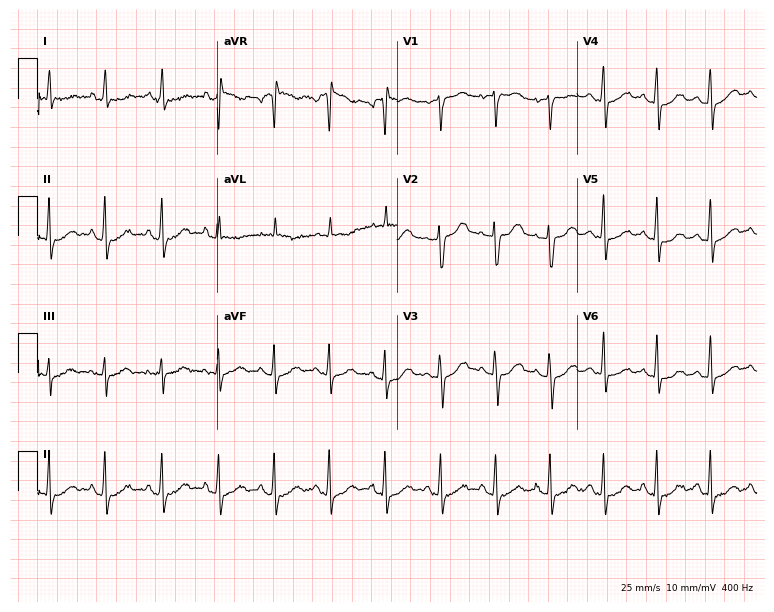
Electrocardiogram, a female, 36 years old. Interpretation includes sinus tachycardia (a sinus rate of 100 beats per minute or more).